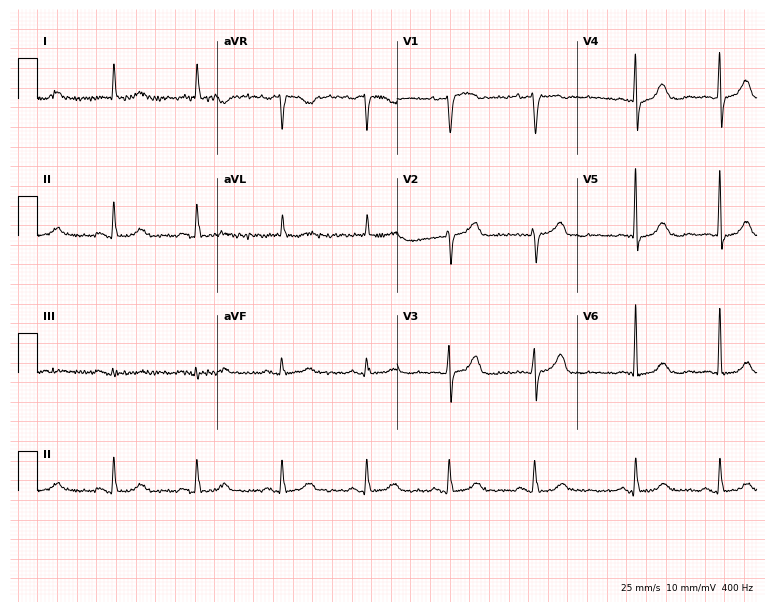
ECG (7.3-second recording at 400 Hz) — a female patient, 85 years old. Labelled as a normal ECG.